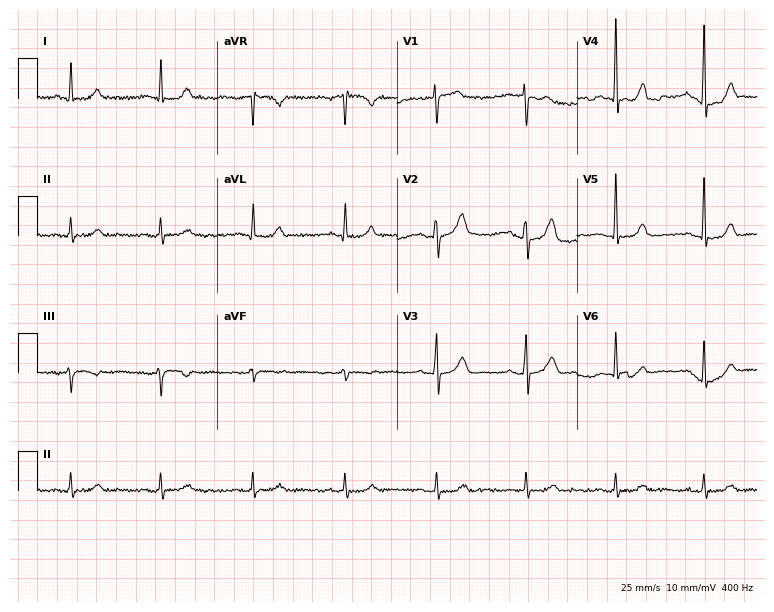
Standard 12-lead ECG recorded from a female, 61 years old. Read as a normal ECG.